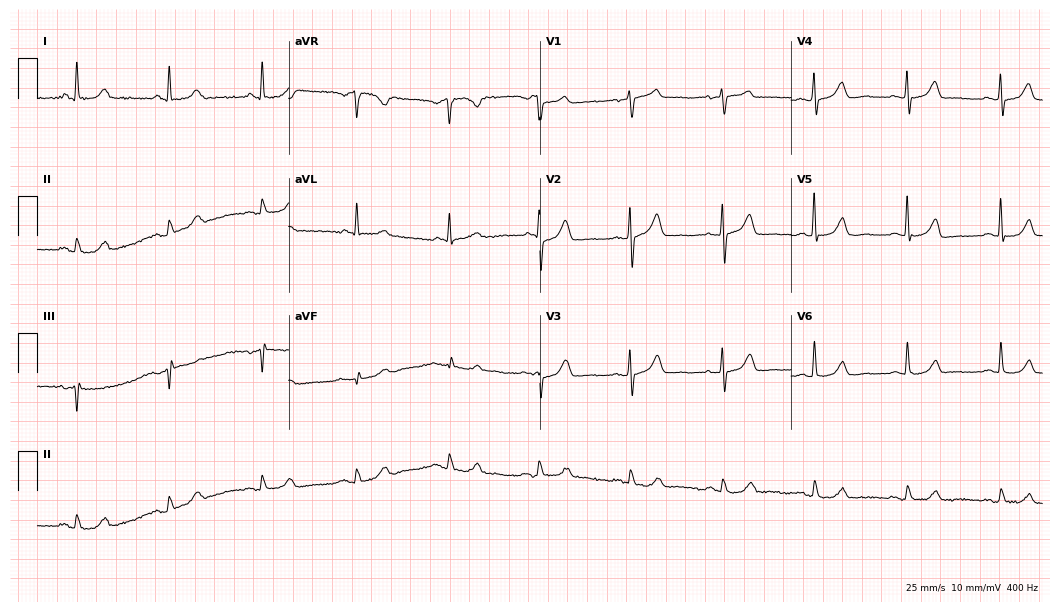
12-lead ECG from a female patient, 76 years old. Labelled as a normal ECG.